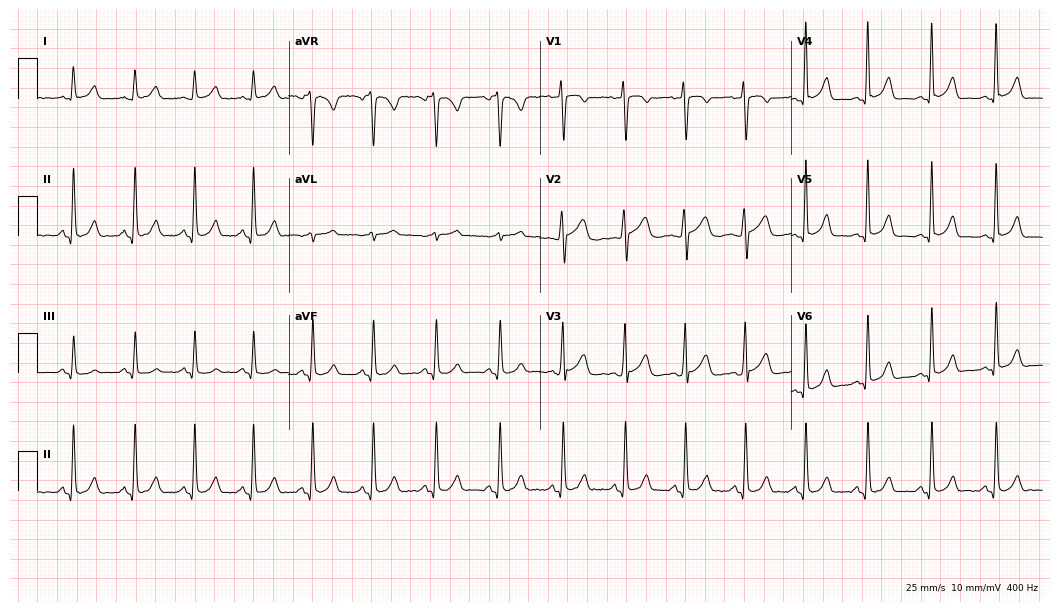
Resting 12-lead electrocardiogram (10.2-second recording at 400 Hz). Patient: a female, 31 years old. None of these six findings is recorded: first-degree AV block, right bundle branch block, left bundle branch block, sinus bradycardia, atrial fibrillation, sinus tachycardia. Only these six findings were labelled.